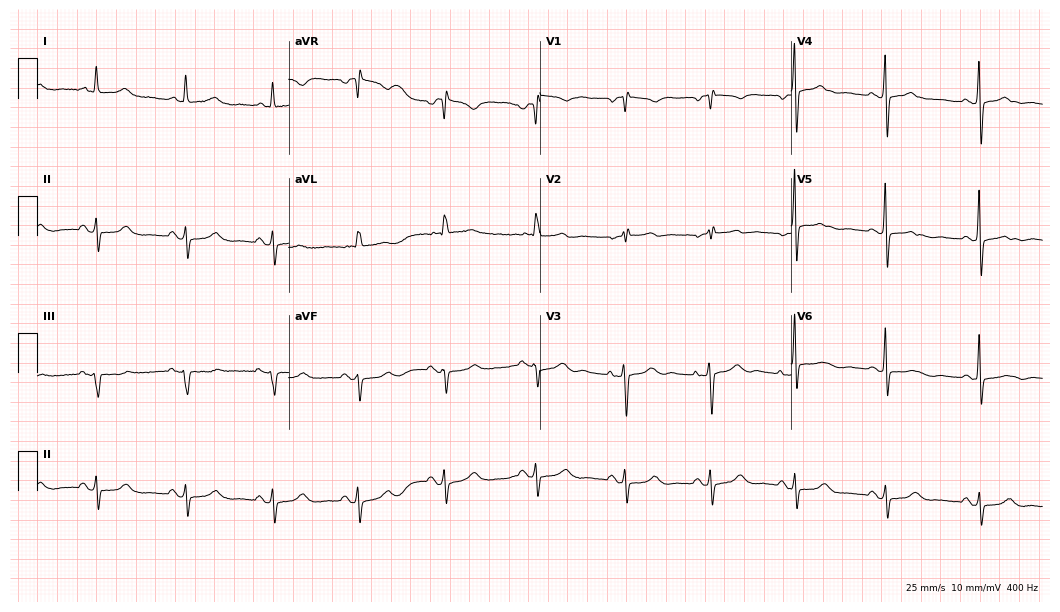
Electrocardiogram (10.2-second recording at 400 Hz), a 63-year-old female patient. Of the six screened findings (first-degree AV block, right bundle branch block (RBBB), left bundle branch block (LBBB), sinus bradycardia, atrial fibrillation (AF), sinus tachycardia), none is recorded. Only these six findings were labelled.